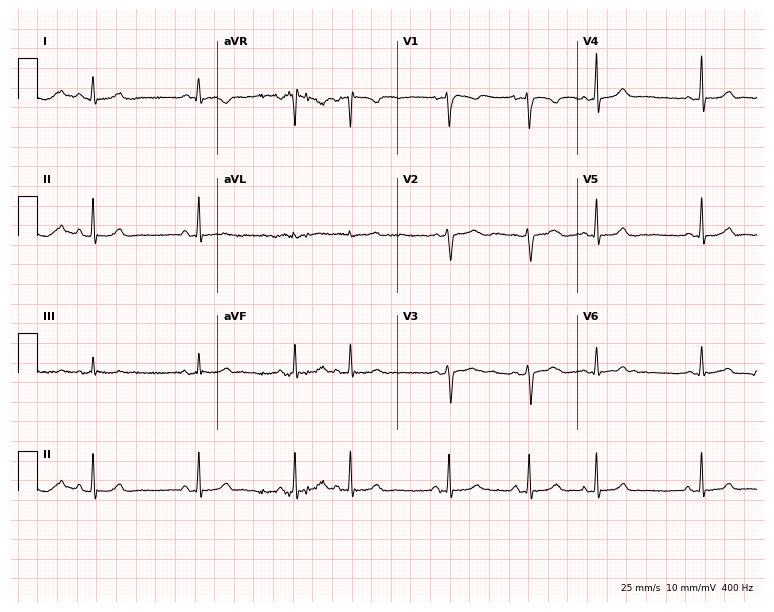
Resting 12-lead electrocardiogram (7.3-second recording at 400 Hz). Patient: a woman, 19 years old. None of these six findings is recorded: first-degree AV block, right bundle branch block, left bundle branch block, sinus bradycardia, atrial fibrillation, sinus tachycardia.